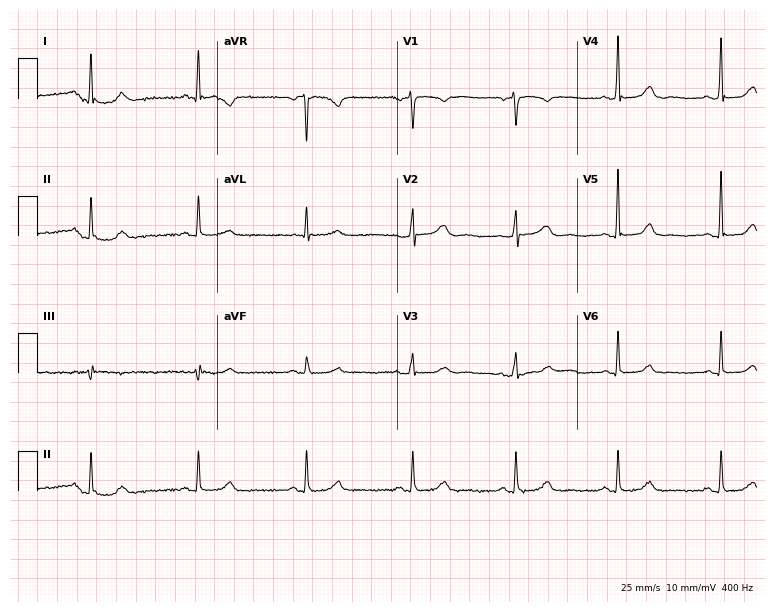
12-lead ECG (7.3-second recording at 400 Hz) from a 51-year-old female patient. Labelled as a normal ECG.